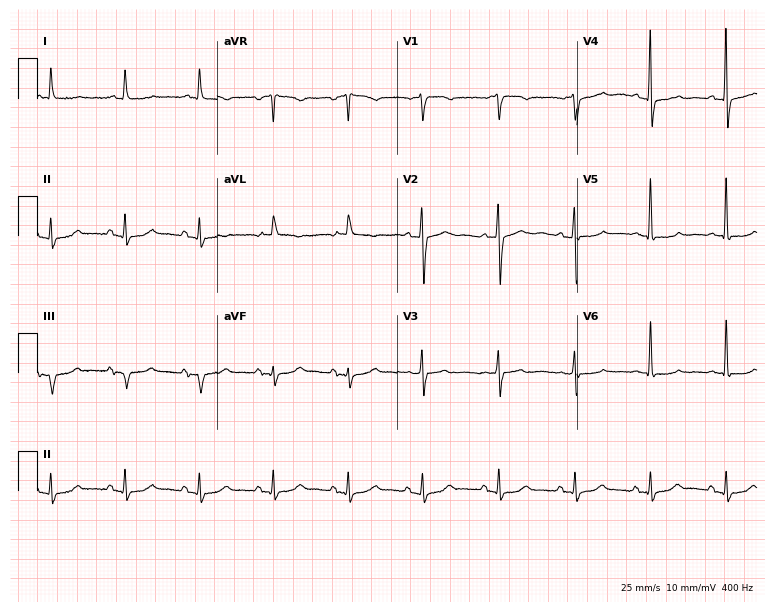
12-lead ECG from a female, 73 years old. Recorded interpretation: within normal limits.